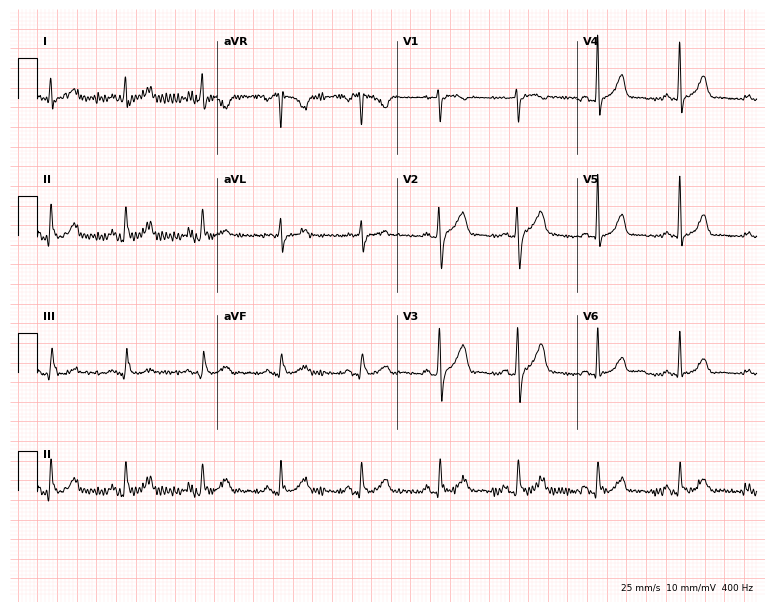
12-lead ECG from a male patient, 33 years old (7.3-second recording at 400 Hz). Recorded interpretation: within normal limits.